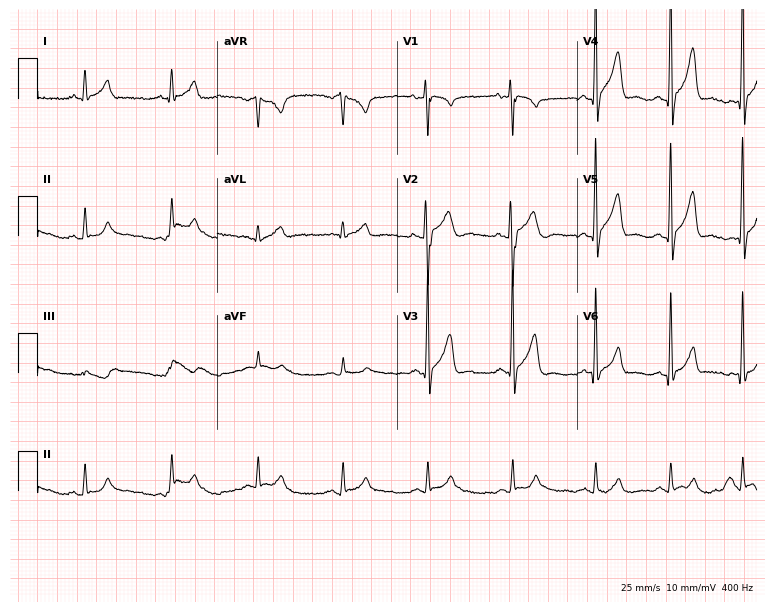
Standard 12-lead ECG recorded from a man, 18 years old (7.3-second recording at 400 Hz). None of these six findings is recorded: first-degree AV block, right bundle branch block, left bundle branch block, sinus bradycardia, atrial fibrillation, sinus tachycardia. Only these six findings were labelled.